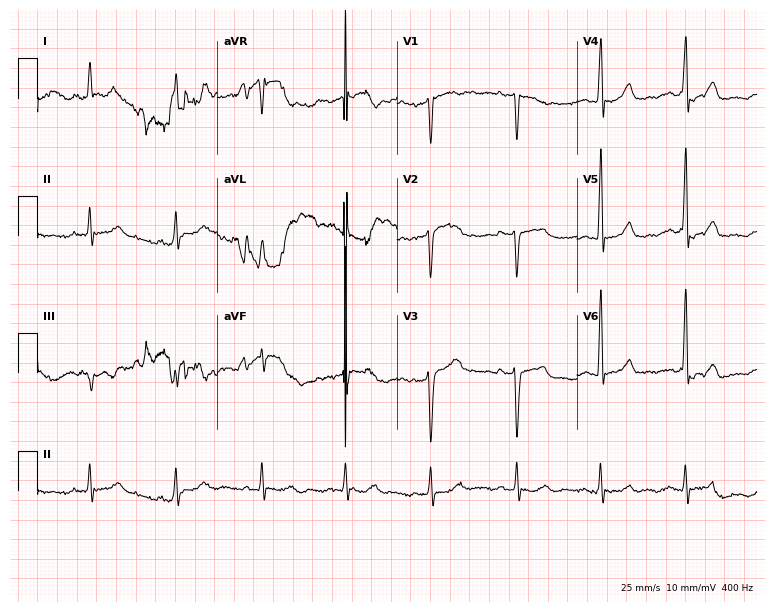
12-lead ECG from a female, 44 years old (7.3-second recording at 400 Hz). No first-degree AV block, right bundle branch block (RBBB), left bundle branch block (LBBB), sinus bradycardia, atrial fibrillation (AF) or sinus tachycardia recorded for this tracing.